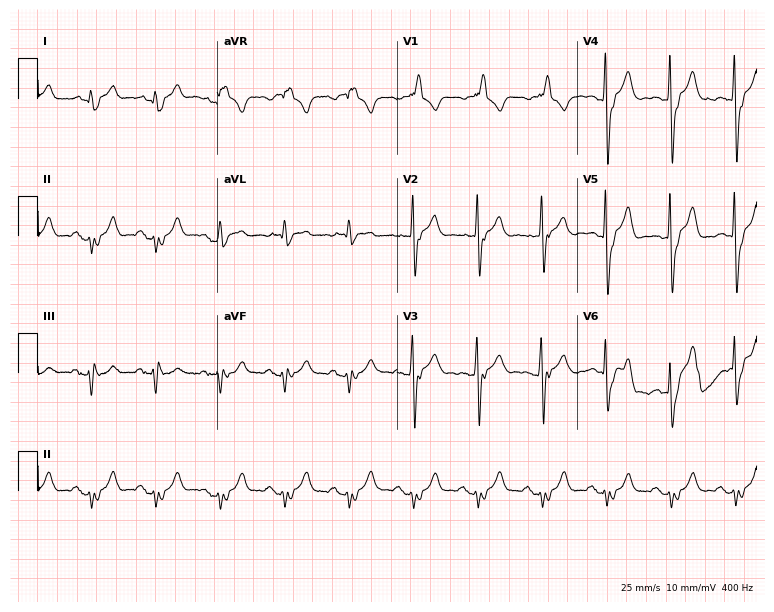
Electrocardiogram, an 82-year-old male. Interpretation includes right bundle branch block.